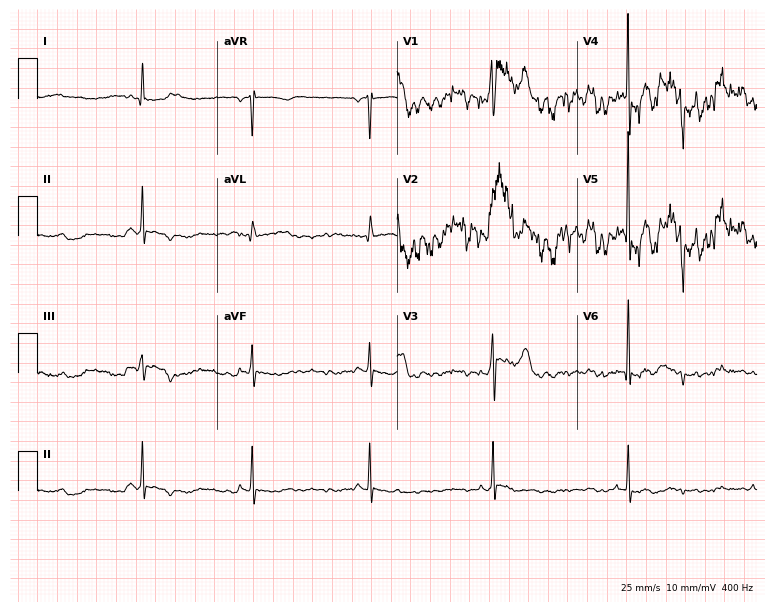
12-lead ECG from a male, 41 years old. No first-degree AV block, right bundle branch block (RBBB), left bundle branch block (LBBB), sinus bradycardia, atrial fibrillation (AF) or sinus tachycardia recorded for this tracing. Only these six findings were labelled.